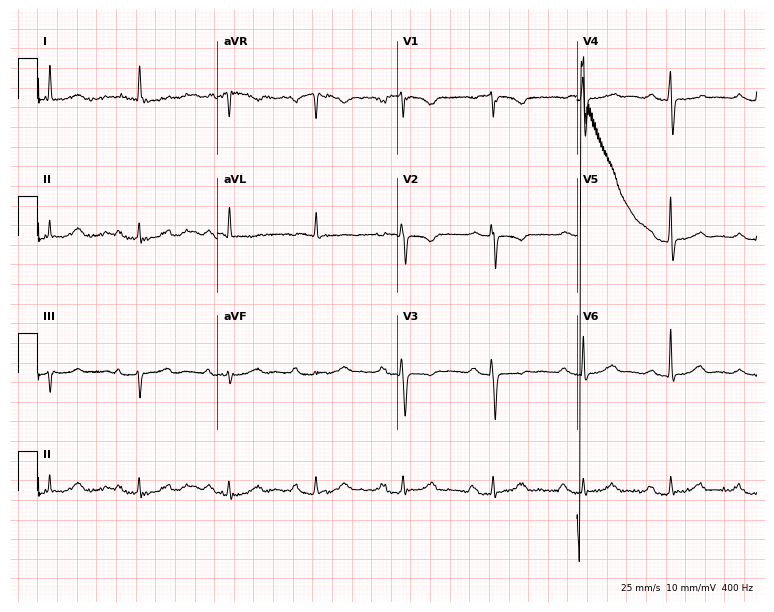
Resting 12-lead electrocardiogram (7.3-second recording at 400 Hz). Patient: a woman, 80 years old. None of these six findings is recorded: first-degree AV block, right bundle branch block, left bundle branch block, sinus bradycardia, atrial fibrillation, sinus tachycardia. Other findings, if any, are not listed.